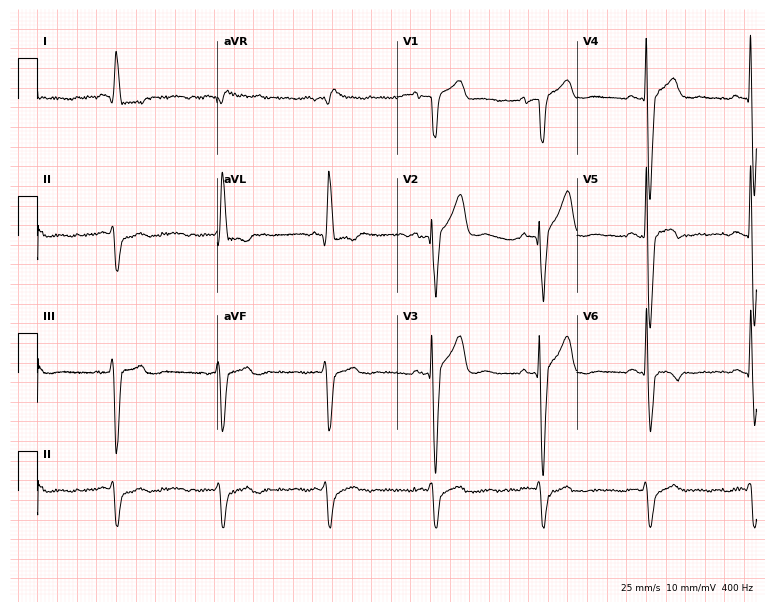
12-lead ECG from a male, 85 years old. Screened for six findings — first-degree AV block, right bundle branch block, left bundle branch block, sinus bradycardia, atrial fibrillation, sinus tachycardia — none is recorded. Findings outside these six are not listed.